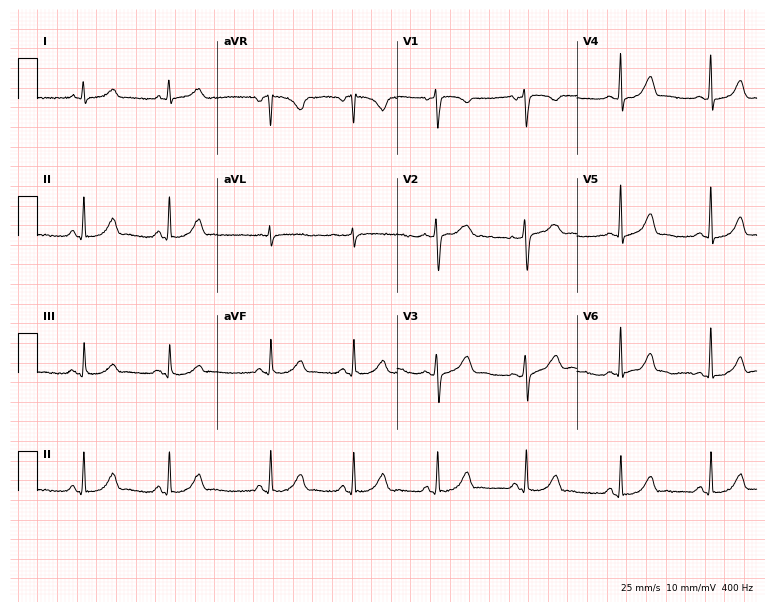
12-lead ECG from a 31-year-old female patient (7.3-second recording at 400 Hz). Recorded interpretation: within normal limits.